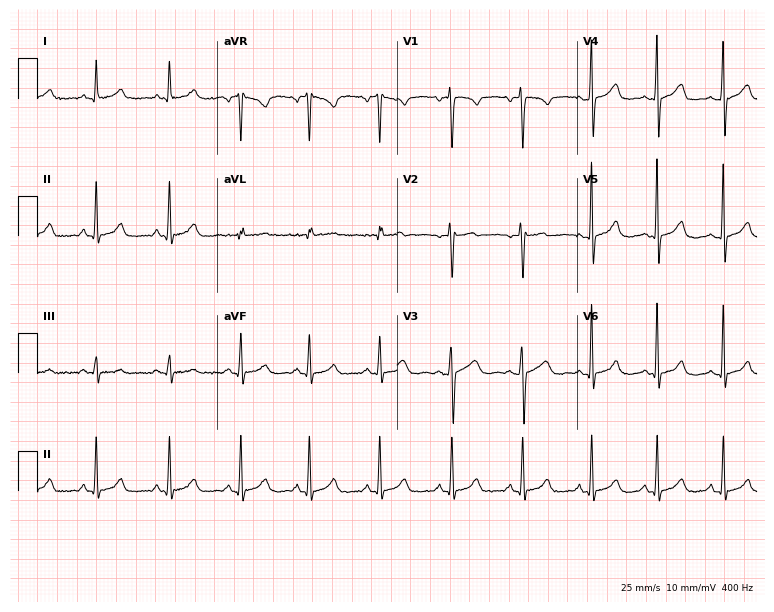
Electrocardiogram (7.3-second recording at 400 Hz), a 40-year-old woman. Of the six screened findings (first-degree AV block, right bundle branch block, left bundle branch block, sinus bradycardia, atrial fibrillation, sinus tachycardia), none is recorded. Findings outside these six are not listed.